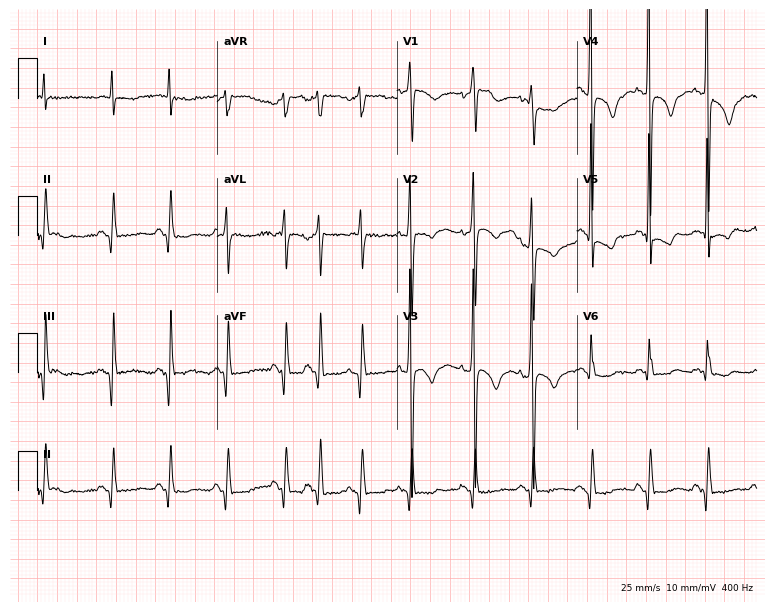
12-lead ECG from a male, 73 years old. No first-degree AV block, right bundle branch block (RBBB), left bundle branch block (LBBB), sinus bradycardia, atrial fibrillation (AF) or sinus tachycardia recorded for this tracing.